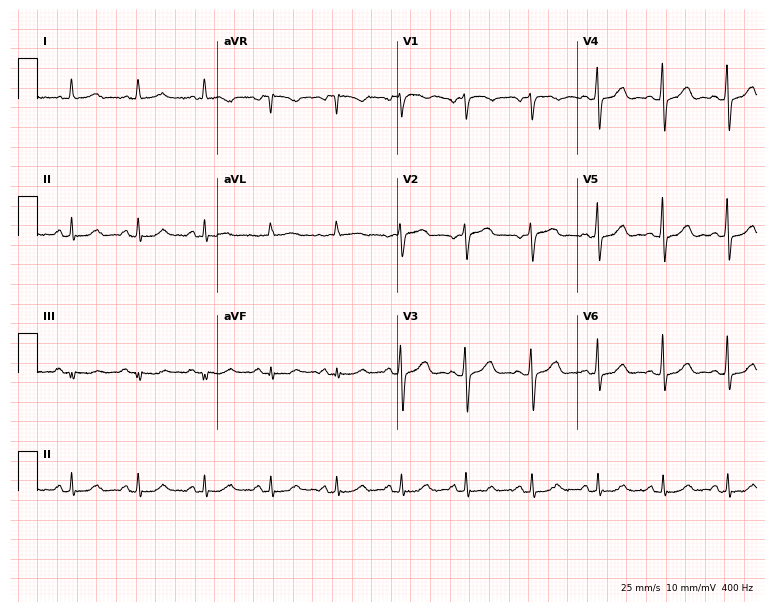
Electrocardiogram (7.3-second recording at 400 Hz), a female patient, 79 years old. Overall reading on record: normal ECG.